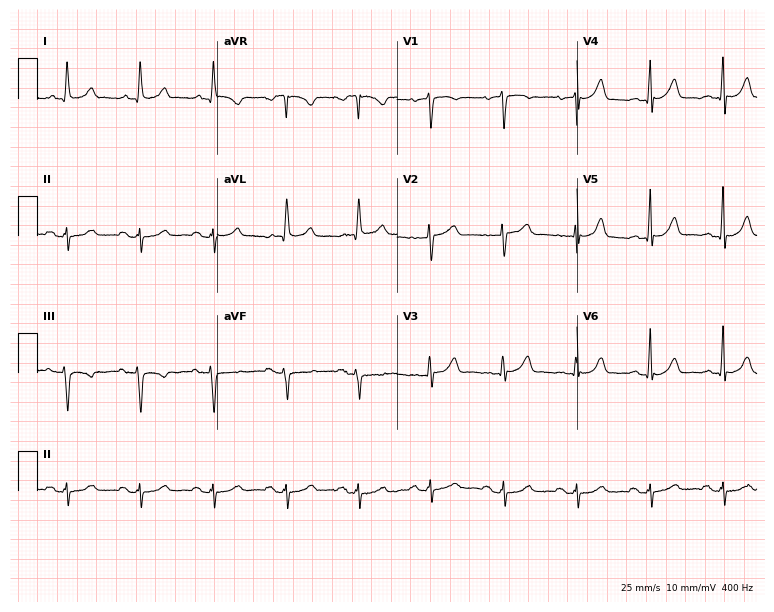
ECG (7.3-second recording at 400 Hz) — a 69-year-old female. Screened for six findings — first-degree AV block, right bundle branch block (RBBB), left bundle branch block (LBBB), sinus bradycardia, atrial fibrillation (AF), sinus tachycardia — none is recorded. Only these six findings were labelled.